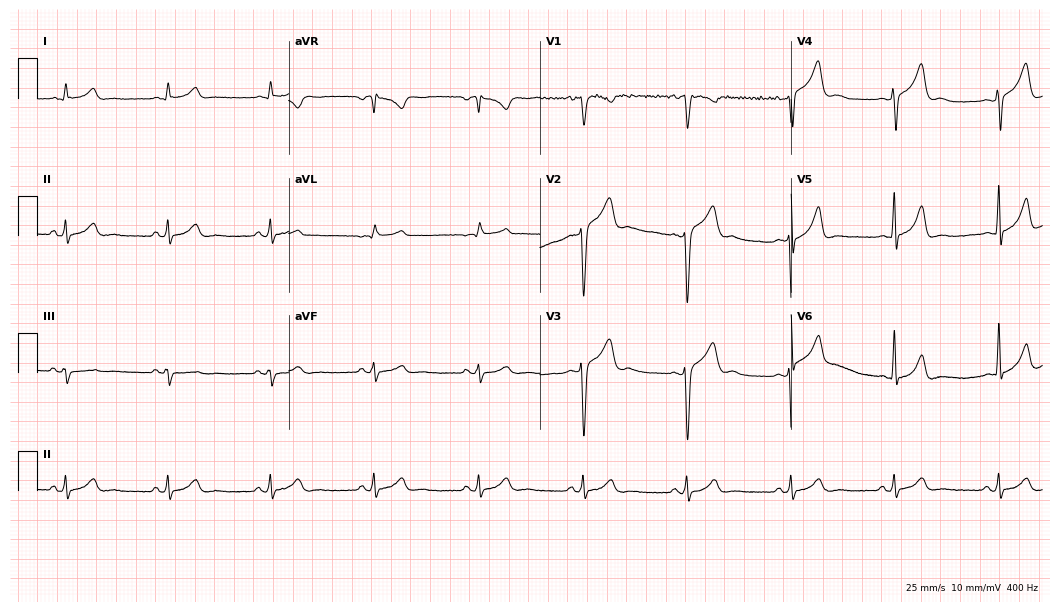
12-lead ECG from an 18-year-old man (10.2-second recording at 400 Hz). Recorded interpretation: within normal limits.